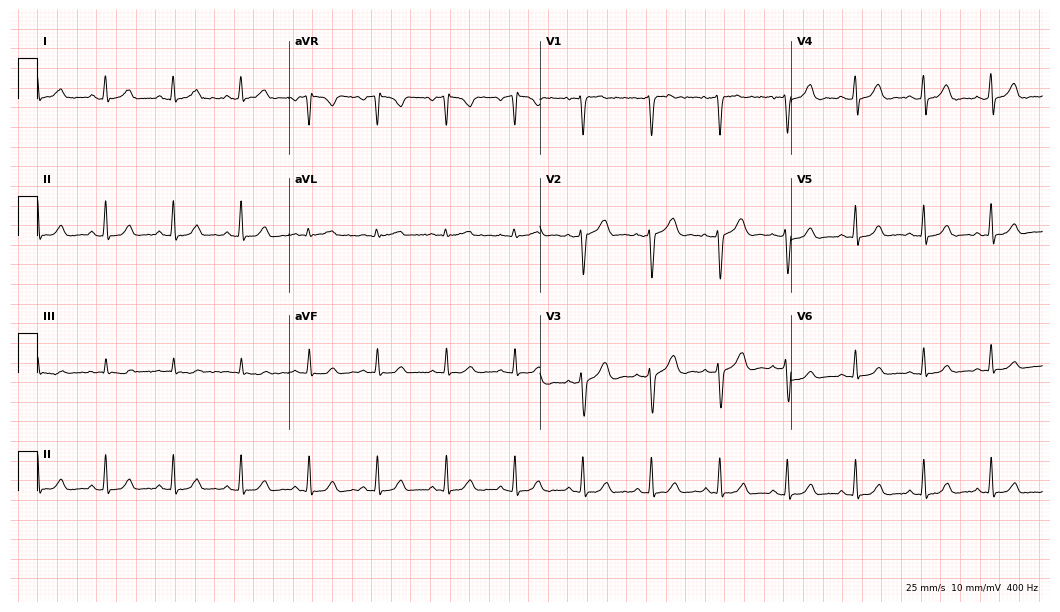
Standard 12-lead ECG recorded from a 41-year-old woman (10.2-second recording at 400 Hz). Read as a normal ECG.